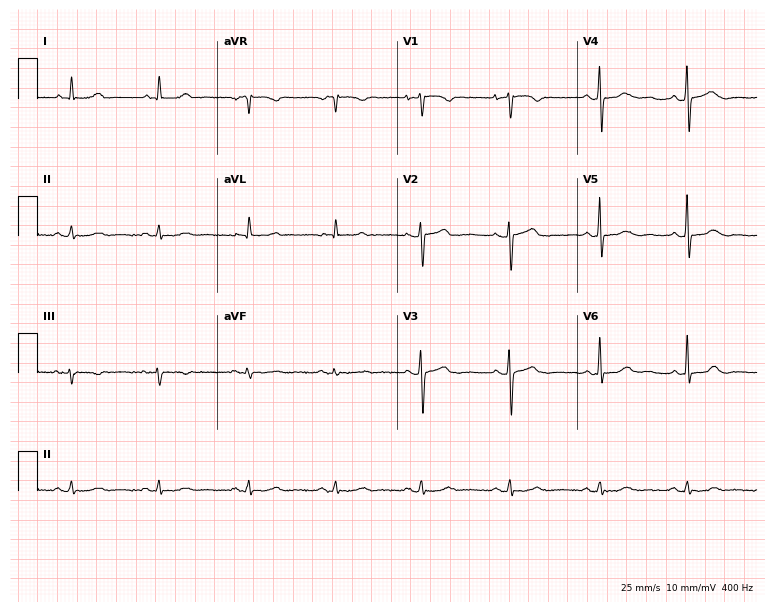
ECG (7.3-second recording at 400 Hz) — a 56-year-old female. Screened for six findings — first-degree AV block, right bundle branch block, left bundle branch block, sinus bradycardia, atrial fibrillation, sinus tachycardia — none is recorded. Other findings, if any, are not listed.